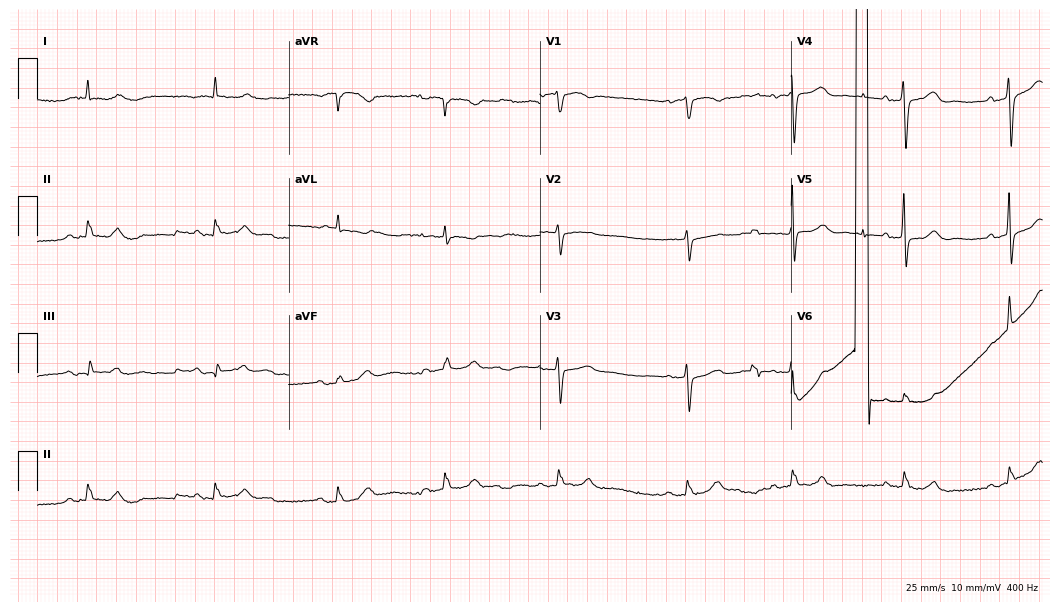
ECG — a female patient, 76 years old. Screened for six findings — first-degree AV block, right bundle branch block, left bundle branch block, sinus bradycardia, atrial fibrillation, sinus tachycardia — none is recorded. Only these six findings were labelled.